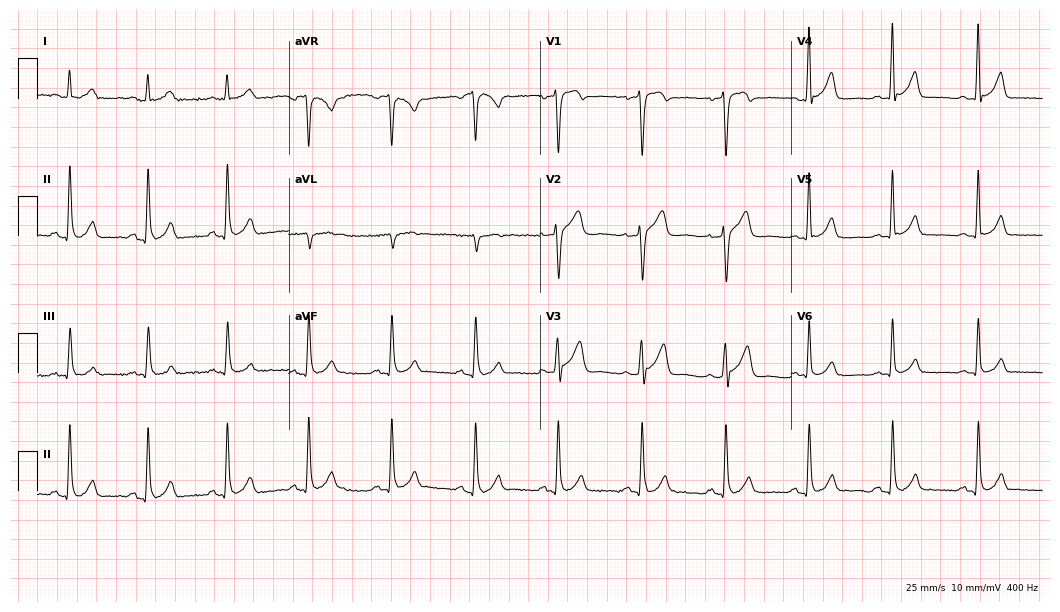
12-lead ECG from a male patient, 58 years old. Recorded interpretation: within normal limits.